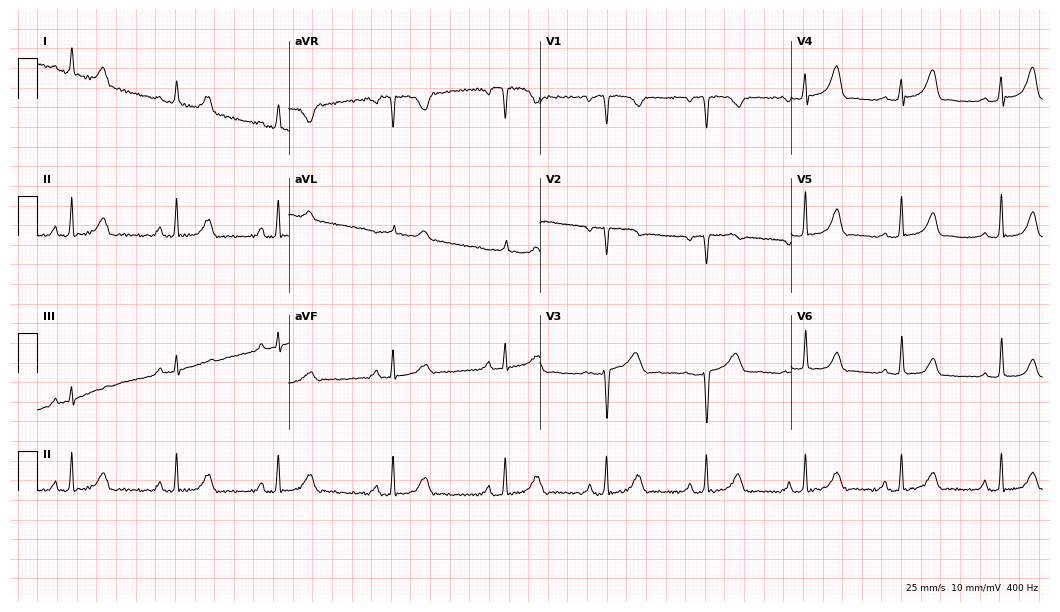
Standard 12-lead ECG recorded from a 47-year-old female. None of these six findings is recorded: first-degree AV block, right bundle branch block, left bundle branch block, sinus bradycardia, atrial fibrillation, sinus tachycardia.